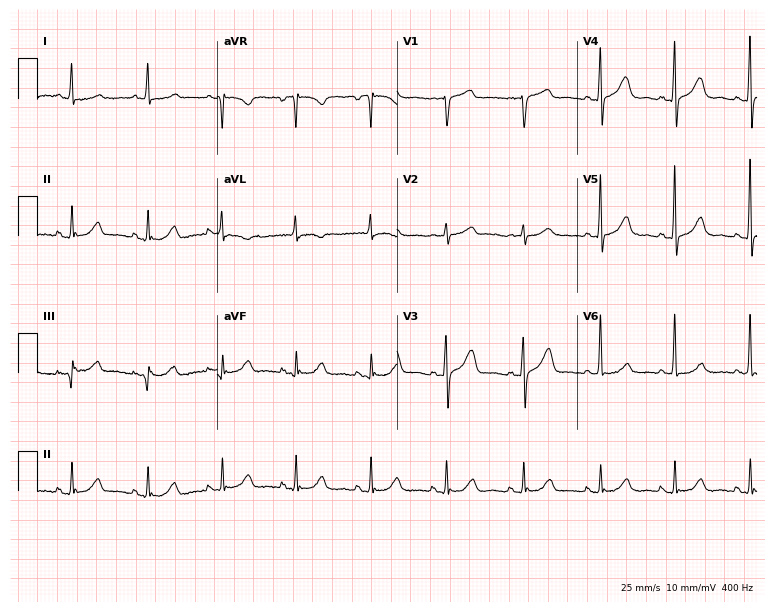
12-lead ECG from a woman, 77 years old. Screened for six findings — first-degree AV block, right bundle branch block (RBBB), left bundle branch block (LBBB), sinus bradycardia, atrial fibrillation (AF), sinus tachycardia — none is recorded. Findings outside these six are not listed.